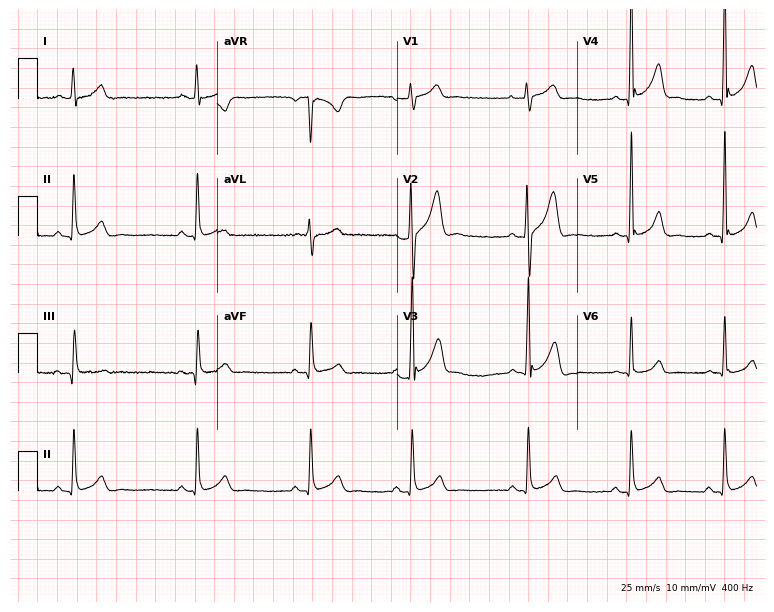
12-lead ECG from a man, 24 years old. Screened for six findings — first-degree AV block, right bundle branch block, left bundle branch block, sinus bradycardia, atrial fibrillation, sinus tachycardia — none is recorded.